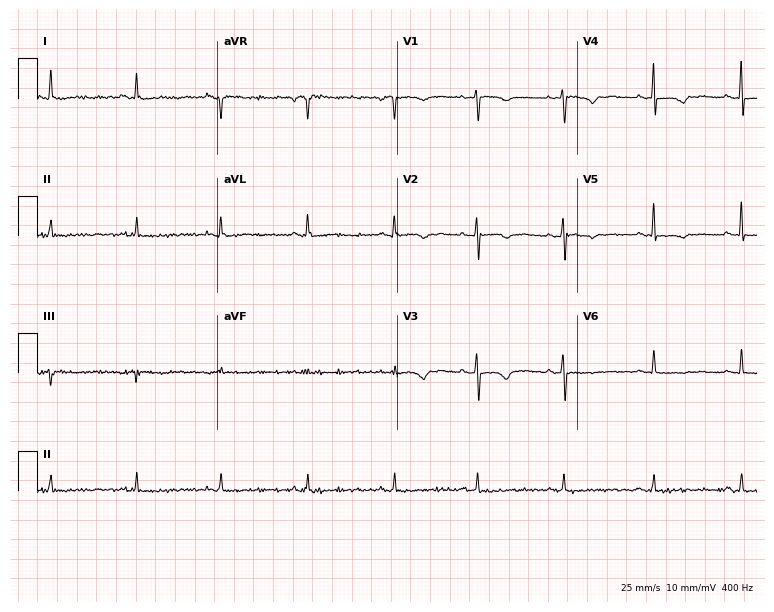
Resting 12-lead electrocardiogram. Patient: a female, 52 years old. None of these six findings is recorded: first-degree AV block, right bundle branch block, left bundle branch block, sinus bradycardia, atrial fibrillation, sinus tachycardia.